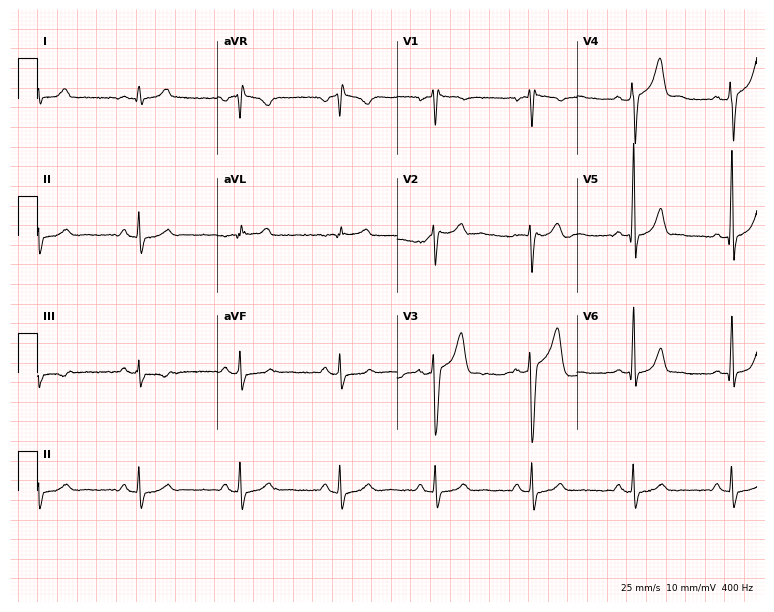
12-lead ECG from a male, 44 years old. Screened for six findings — first-degree AV block, right bundle branch block, left bundle branch block, sinus bradycardia, atrial fibrillation, sinus tachycardia — none is recorded. Other findings, if any, are not listed.